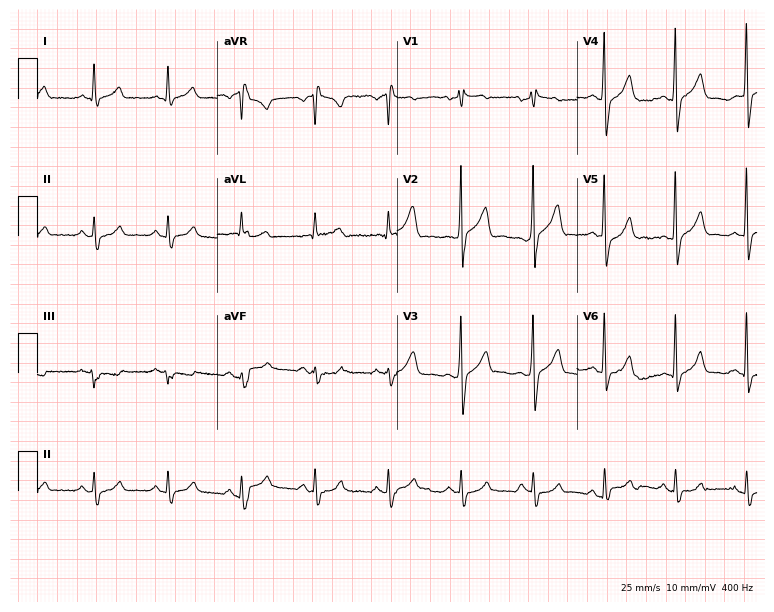
ECG — a 59-year-old man. Labelled as a normal ECG.